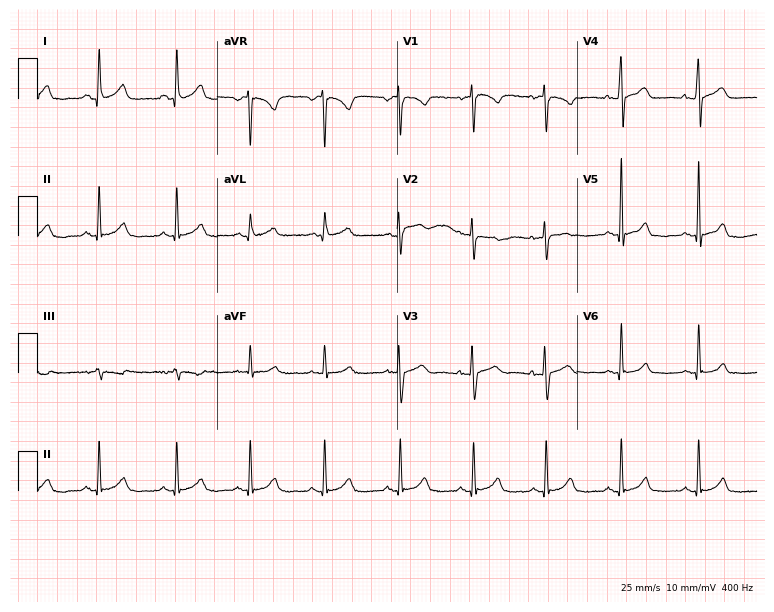
Resting 12-lead electrocardiogram (7.3-second recording at 400 Hz). Patient: a female, 35 years old. Read as a normal ECG.